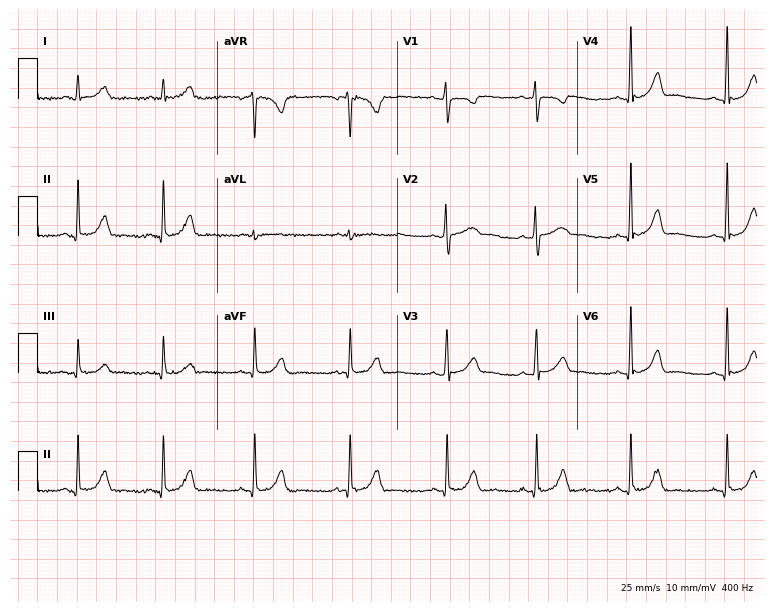
ECG (7.3-second recording at 400 Hz) — a 27-year-old female. Labelled as a normal ECG.